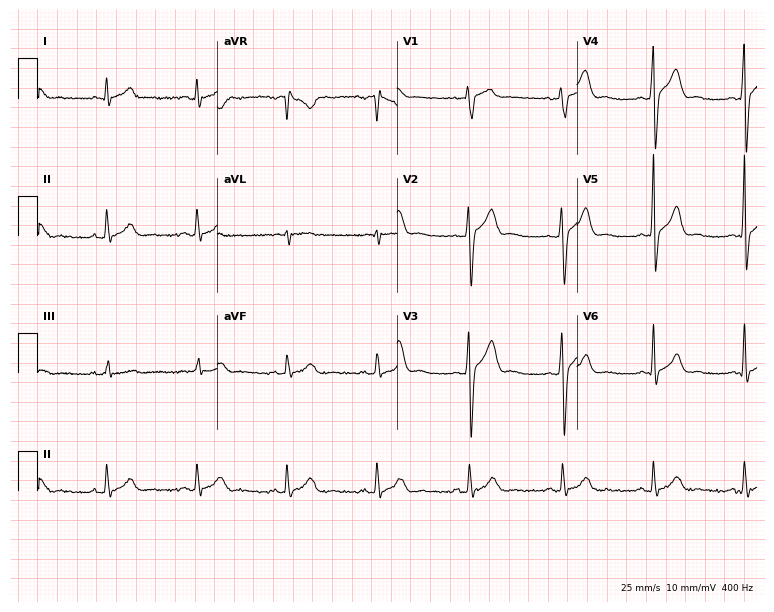
12-lead ECG (7.3-second recording at 400 Hz) from a man, 58 years old. Labelled as a normal ECG.